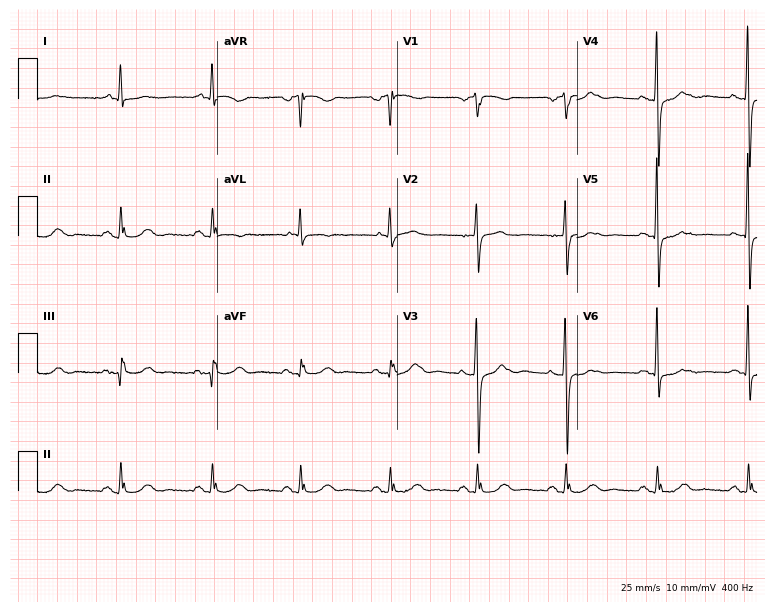
12-lead ECG (7.3-second recording at 400 Hz) from an 81-year-old male patient. Labelled as a normal ECG.